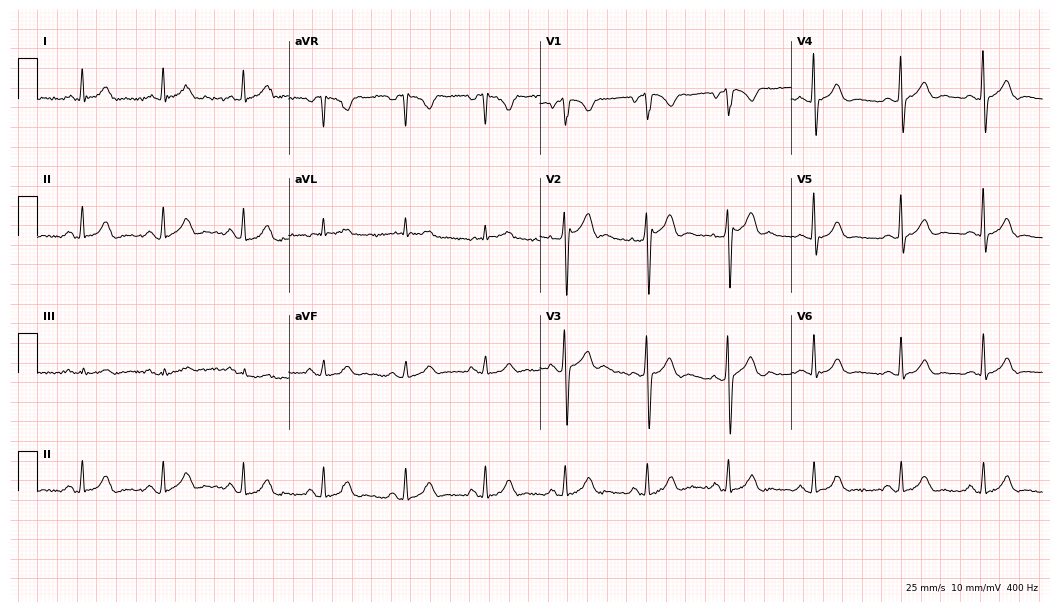
Standard 12-lead ECG recorded from an 84-year-old male. None of these six findings is recorded: first-degree AV block, right bundle branch block (RBBB), left bundle branch block (LBBB), sinus bradycardia, atrial fibrillation (AF), sinus tachycardia. Findings outside these six are not listed.